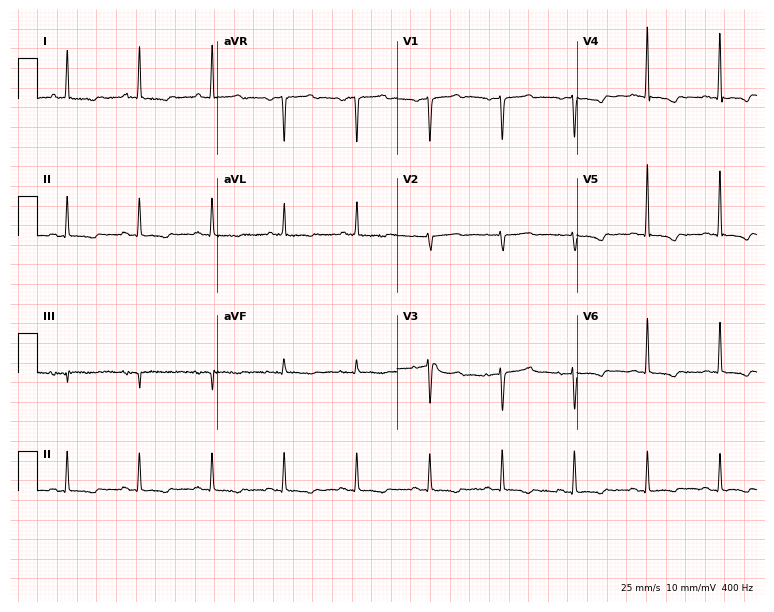
12-lead ECG (7.3-second recording at 400 Hz) from an 82-year-old female. Screened for six findings — first-degree AV block, right bundle branch block, left bundle branch block, sinus bradycardia, atrial fibrillation, sinus tachycardia — none is recorded.